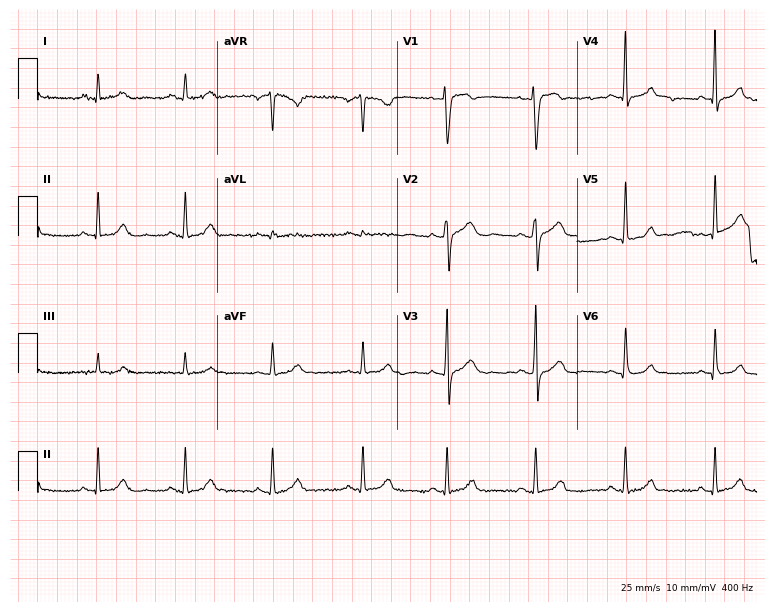
12-lead ECG from a 40-year-old woman (7.3-second recording at 400 Hz). Recorded interpretation: within normal limits.